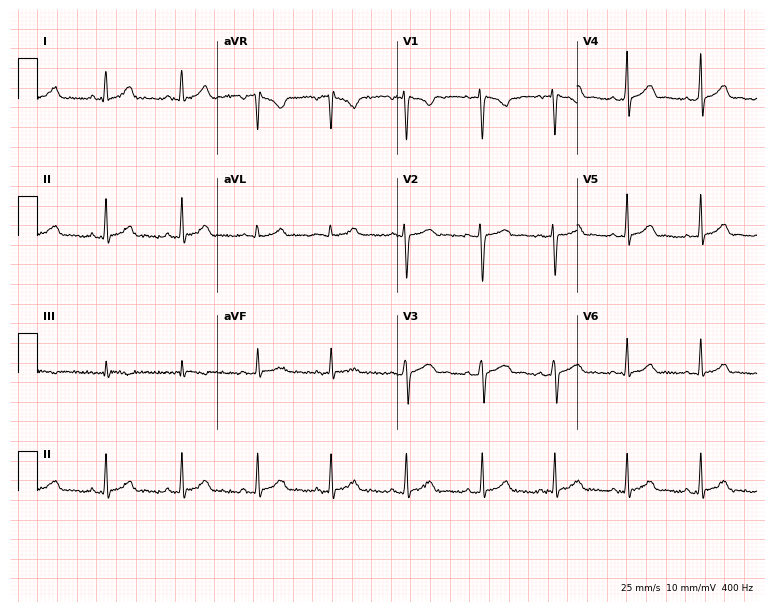
12-lead ECG (7.3-second recording at 400 Hz) from a female patient, 20 years old. Labelled as a normal ECG.